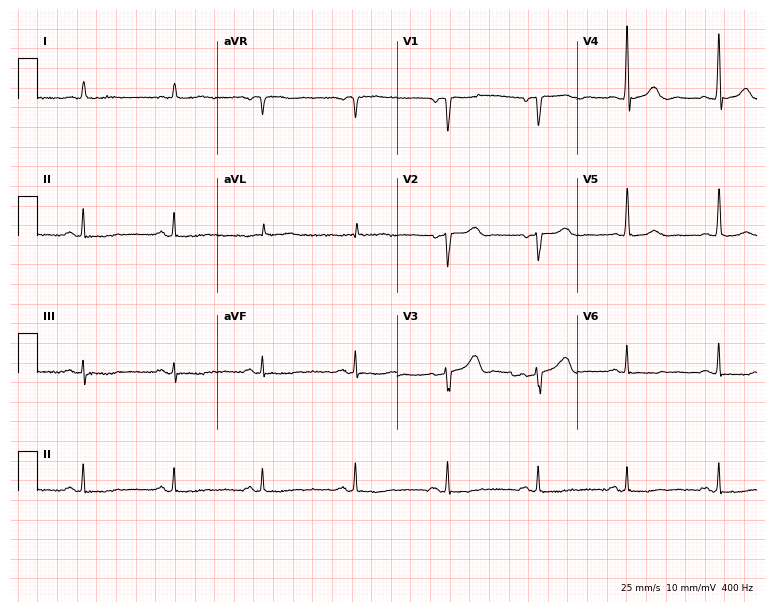
ECG (7.3-second recording at 400 Hz) — an 80-year-old man. Screened for six findings — first-degree AV block, right bundle branch block (RBBB), left bundle branch block (LBBB), sinus bradycardia, atrial fibrillation (AF), sinus tachycardia — none is recorded. Findings outside these six are not listed.